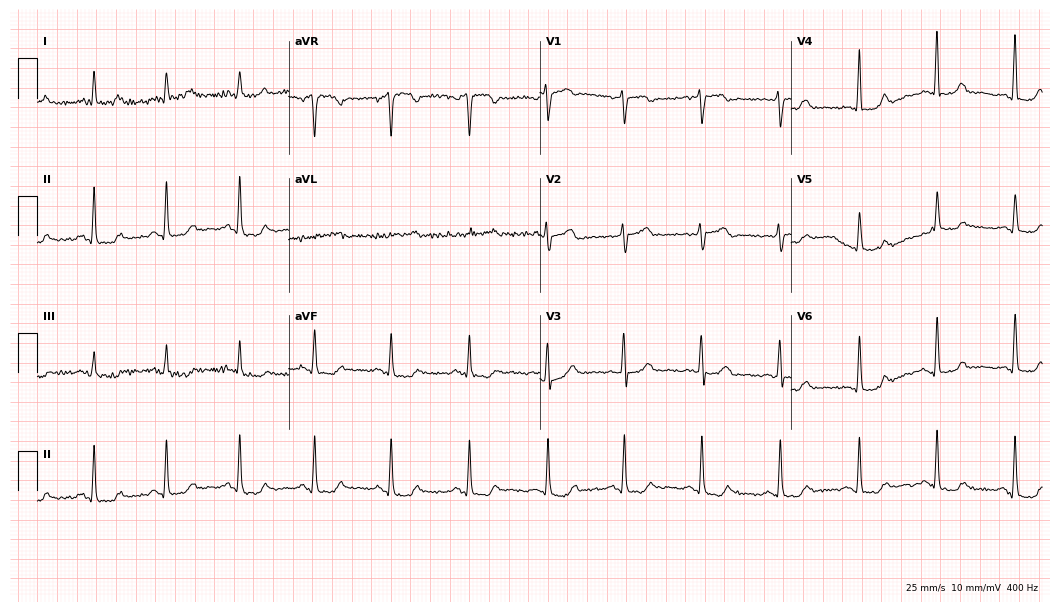
12-lead ECG from a female patient, 52 years old. No first-degree AV block, right bundle branch block, left bundle branch block, sinus bradycardia, atrial fibrillation or sinus tachycardia recorded for this tracing.